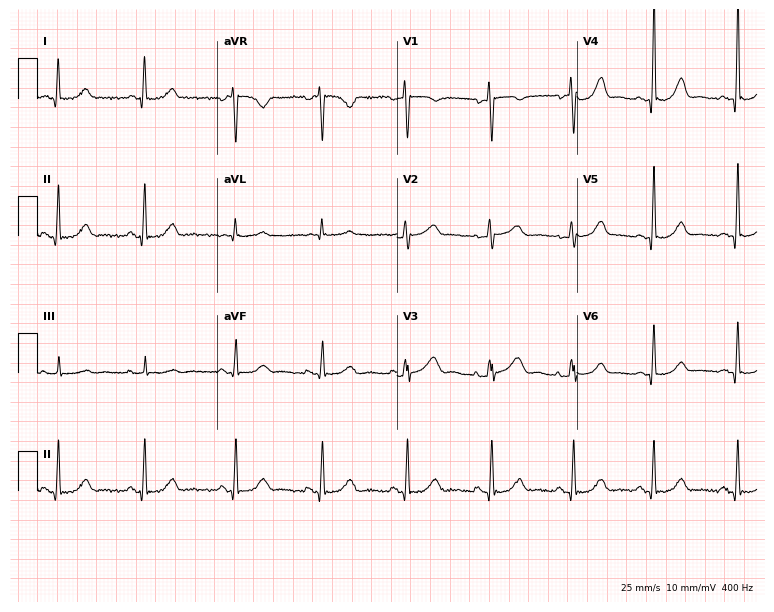
Standard 12-lead ECG recorded from a 47-year-old female. None of these six findings is recorded: first-degree AV block, right bundle branch block, left bundle branch block, sinus bradycardia, atrial fibrillation, sinus tachycardia. Other findings, if any, are not listed.